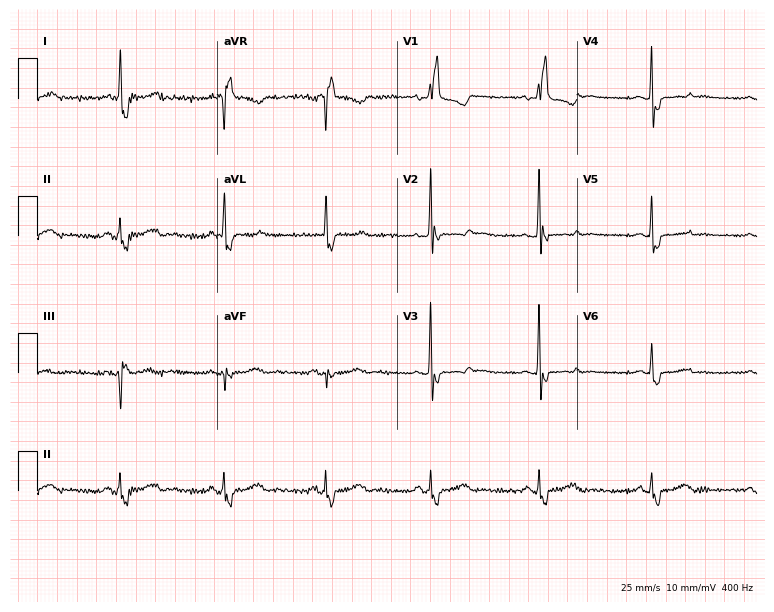
Standard 12-lead ECG recorded from a 60-year-old female. The tracing shows right bundle branch block.